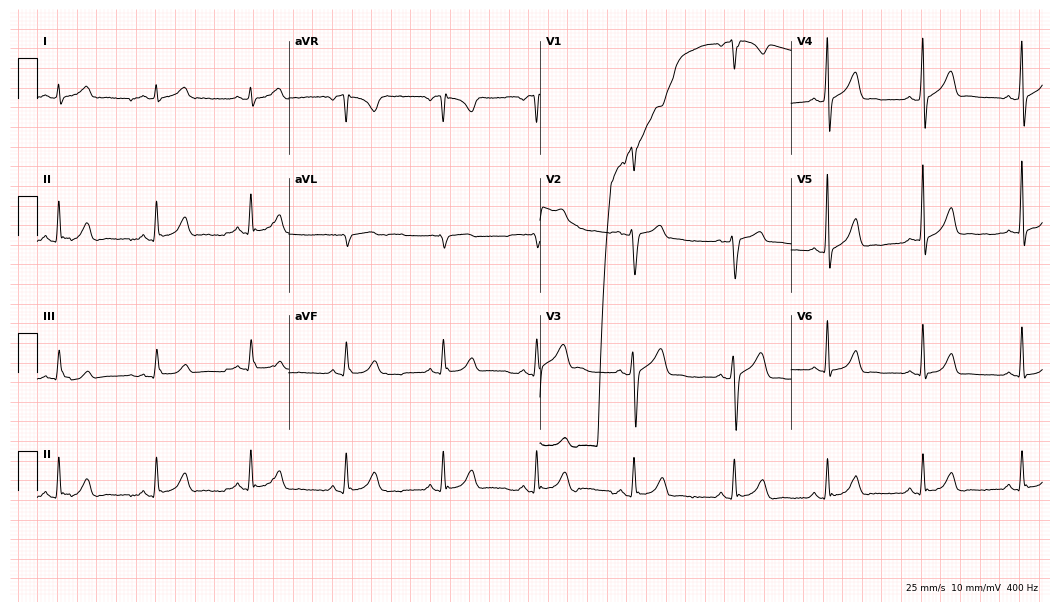
Standard 12-lead ECG recorded from a 44-year-old male patient. Read as a normal ECG.